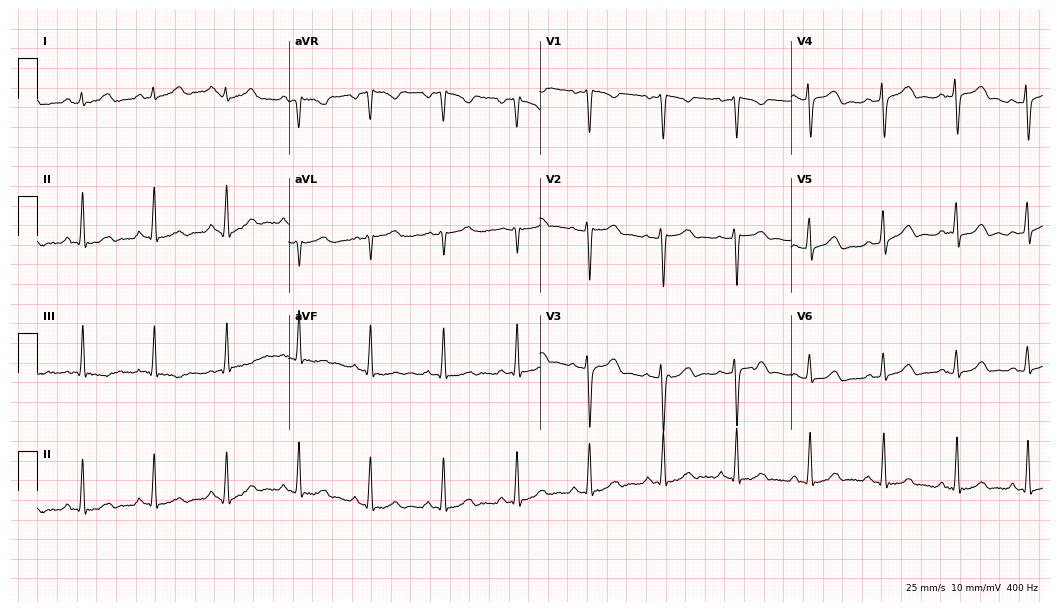
Electrocardiogram (10.2-second recording at 400 Hz), a 25-year-old female patient. Overall reading on record: normal ECG.